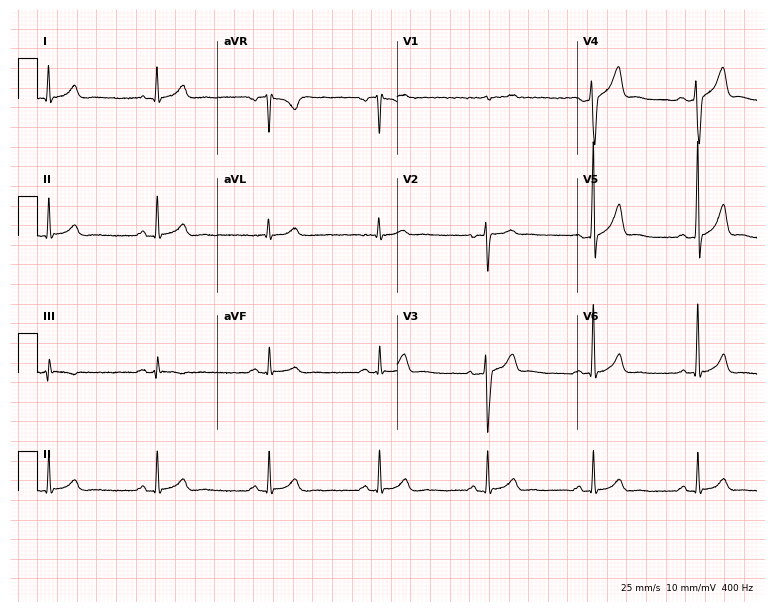
12-lead ECG (7.3-second recording at 400 Hz) from a 44-year-old man. Labelled as a normal ECG.